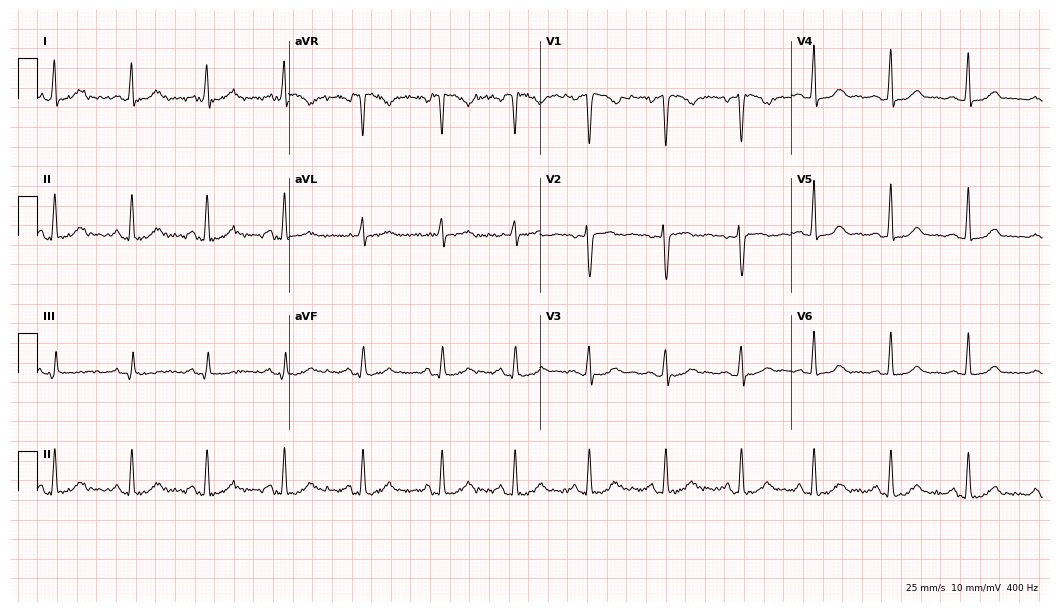
12-lead ECG (10.2-second recording at 400 Hz) from a woman, 44 years old. Labelled as a normal ECG.